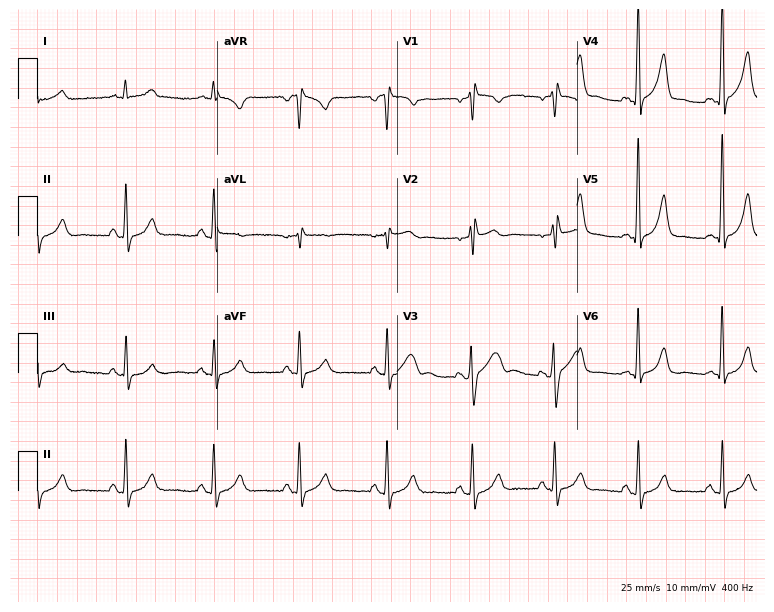
12-lead ECG from a 64-year-old man. No first-degree AV block, right bundle branch block (RBBB), left bundle branch block (LBBB), sinus bradycardia, atrial fibrillation (AF) or sinus tachycardia recorded for this tracing.